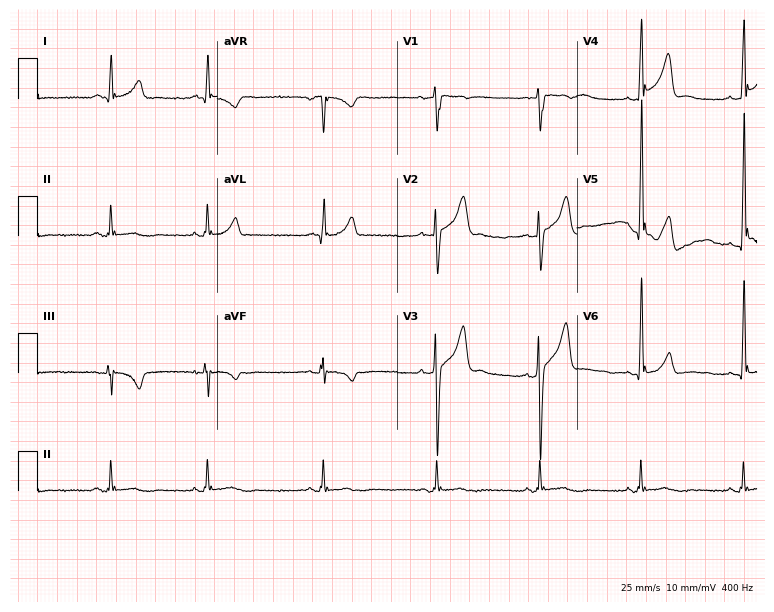
Standard 12-lead ECG recorded from a 34-year-old male (7.3-second recording at 400 Hz). None of these six findings is recorded: first-degree AV block, right bundle branch block (RBBB), left bundle branch block (LBBB), sinus bradycardia, atrial fibrillation (AF), sinus tachycardia.